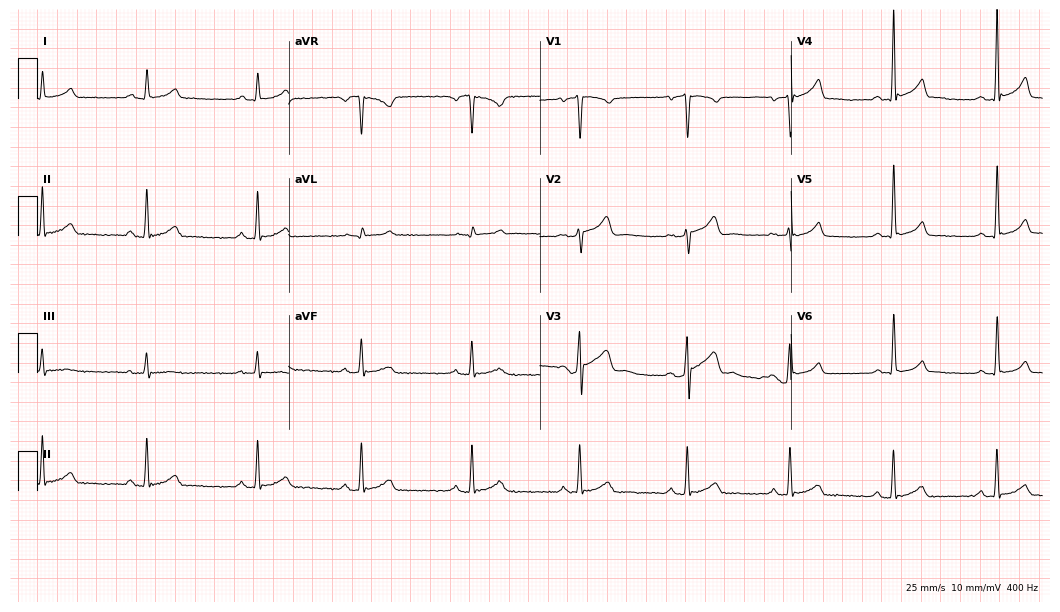
Electrocardiogram, a 34-year-old male. Overall reading on record: normal ECG.